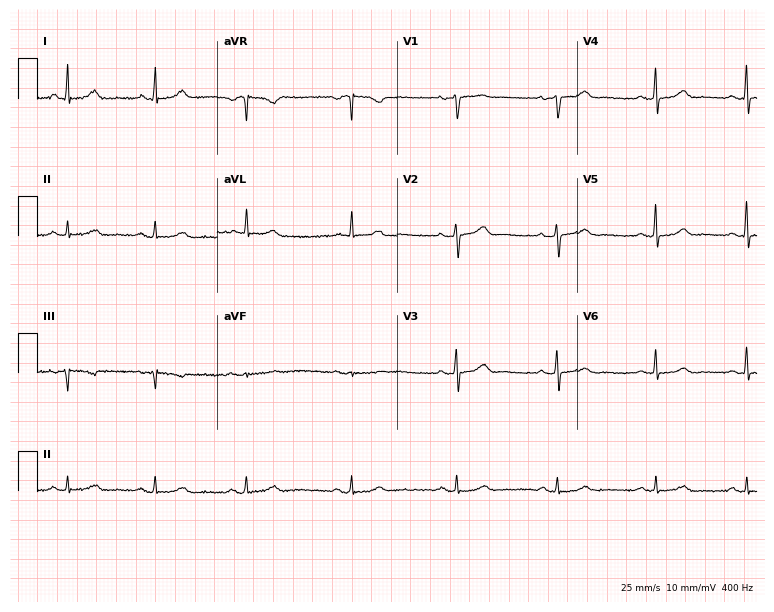
12-lead ECG from a 49-year-old female. No first-degree AV block, right bundle branch block, left bundle branch block, sinus bradycardia, atrial fibrillation or sinus tachycardia recorded for this tracing.